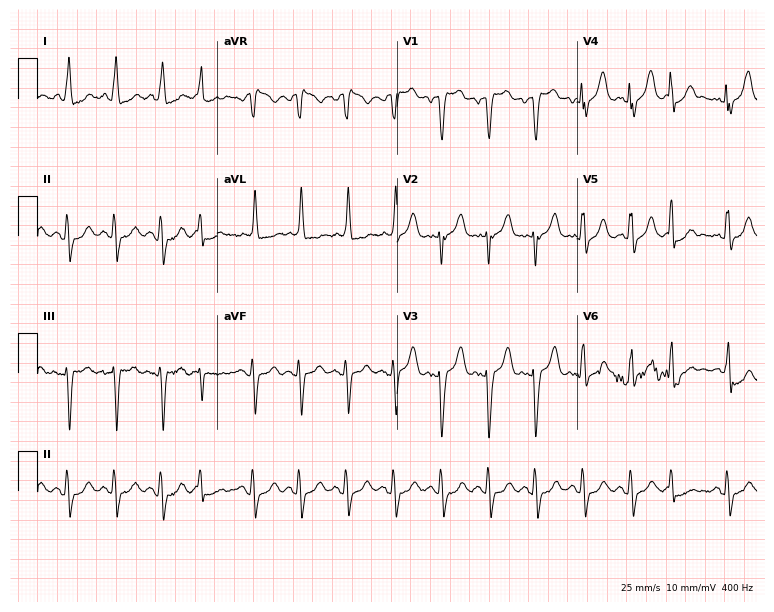
Standard 12-lead ECG recorded from a 76-year-old female. None of these six findings is recorded: first-degree AV block, right bundle branch block, left bundle branch block, sinus bradycardia, atrial fibrillation, sinus tachycardia. Only these six findings were labelled.